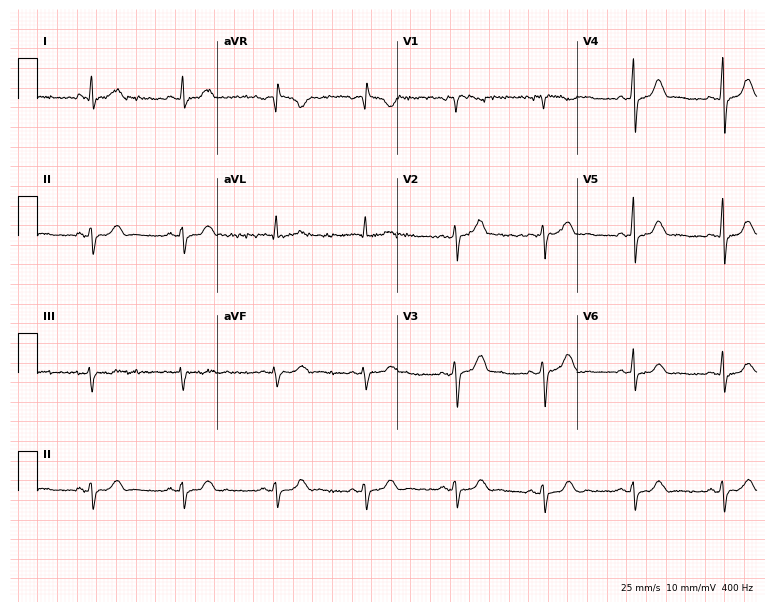
12-lead ECG (7.3-second recording at 400 Hz) from a female patient, 43 years old. Screened for six findings — first-degree AV block, right bundle branch block, left bundle branch block, sinus bradycardia, atrial fibrillation, sinus tachycardia — none is recorded.